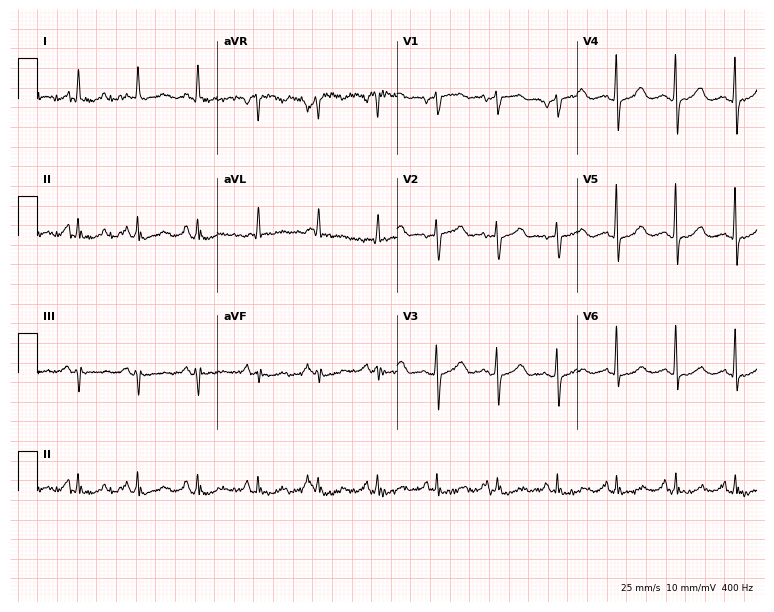
12-lead ECG (7.3-second recording at 400 Hz) from a woman, 66 years old. Screened for six findings — first-degree AV block, right bundle branch block, left bundle branch block, sinus bradycardia, atrial fibrillation, sinus tachycardia — none is recorded.